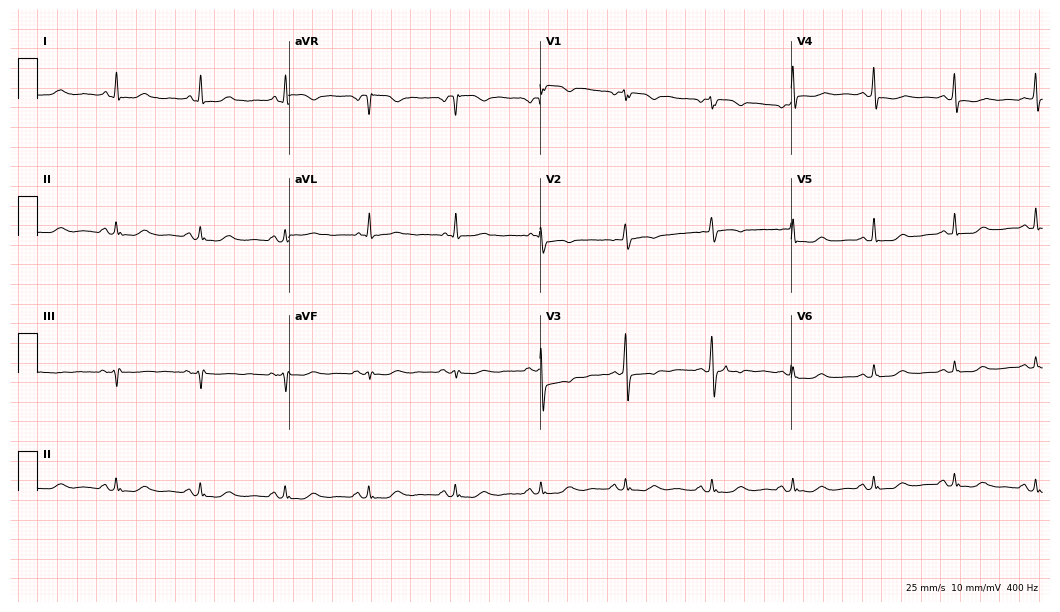
Resting 12-lead electrocardiogram. Patient: a 48-year-old female. Read as a normal ECG.